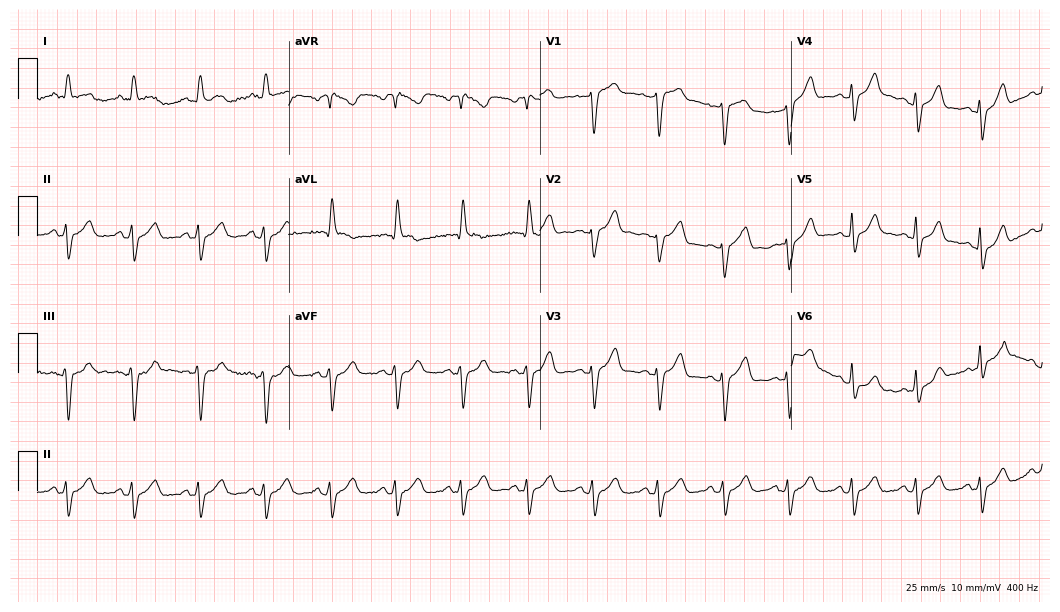
12-lead ECG from a 71-year-old male (10.2-second recording at 400 Hz). No first-degree AV block, right bundle branch block, left bundle branch block, sinus bradycardia, atrial fibrillation or sinus tachycardia recorded for this tracing.